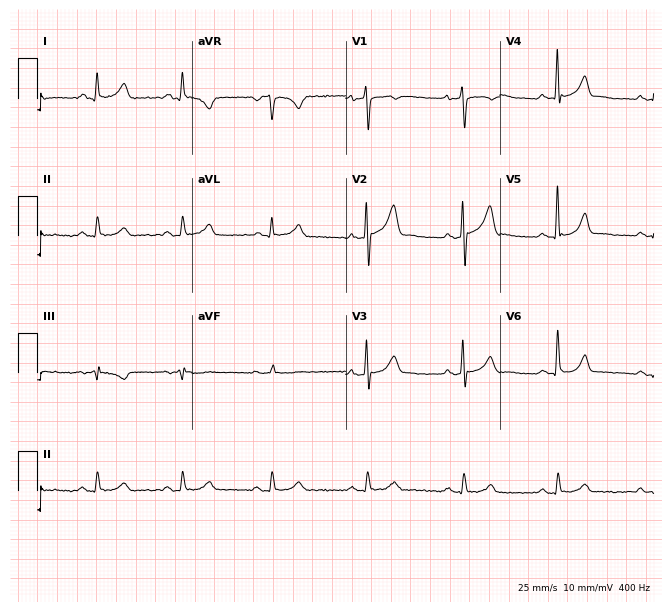
Electrocardiogram, a 51-year-old man. Overall reading on record: normal ECG.